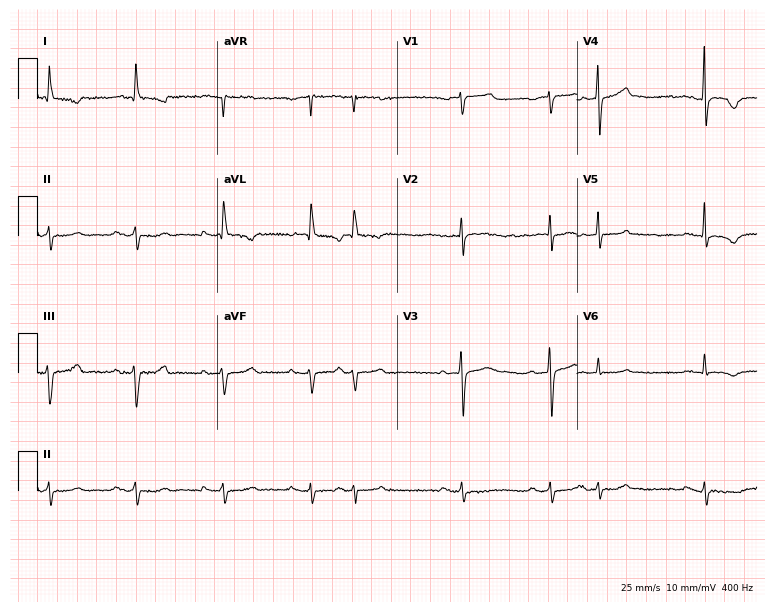
ECG (7.3-second recording at 400 Hz) — an 83-year-old male patient. Screened for six findings — first-degree AV block, right bundle branch block, left bundle branch block, sinus bradycardia, atrial fibrillation, sinus tachycardia — none is recorded.